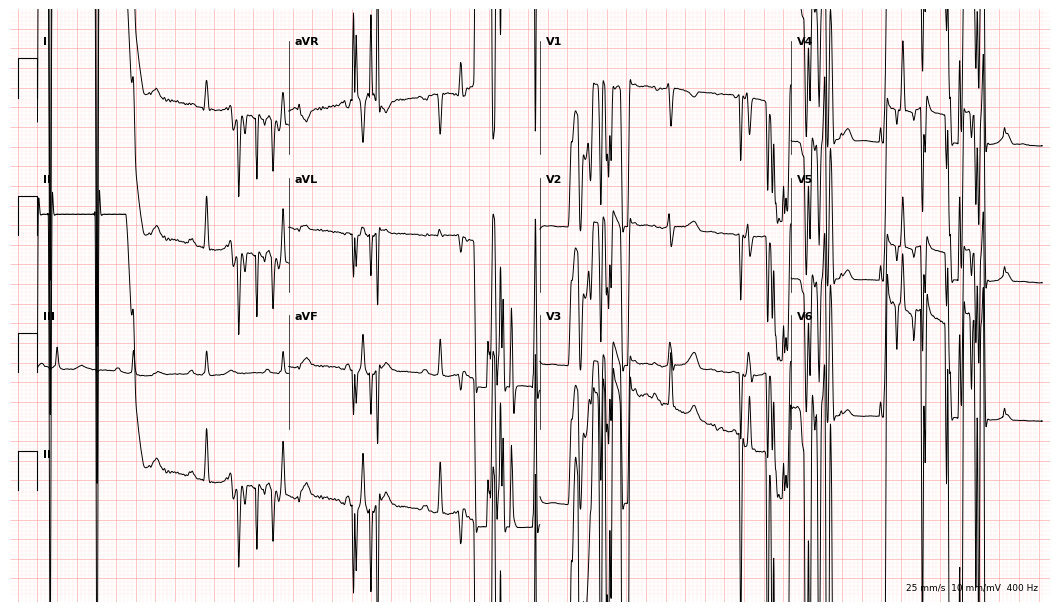
12-lead ECG from a 35-year-old female patient. No first-degree AV block, right bundle branch block (RBBB), left bundle branch block (LBBB), sinus bradycardia, atrial fibrillation (AF) or sinus tachycardia recorded for this tracing. Findings outside these six are not listed.